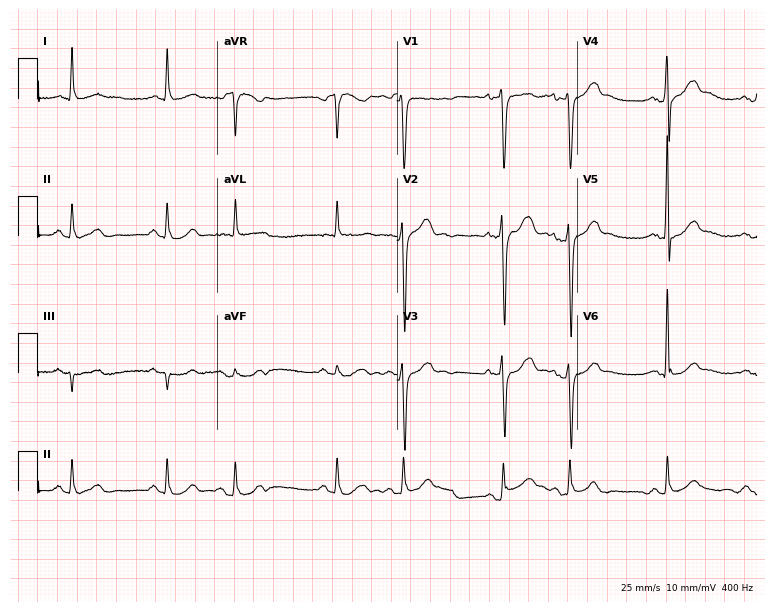
Standard 12-lead ECG recorded from a 65-year-old male patient. None of these six findings is recorded: first-degree AV block, right bundle branch block, left bundle branch block, sinus bradycardia, atrial fibrillation, sinus tachycardia.